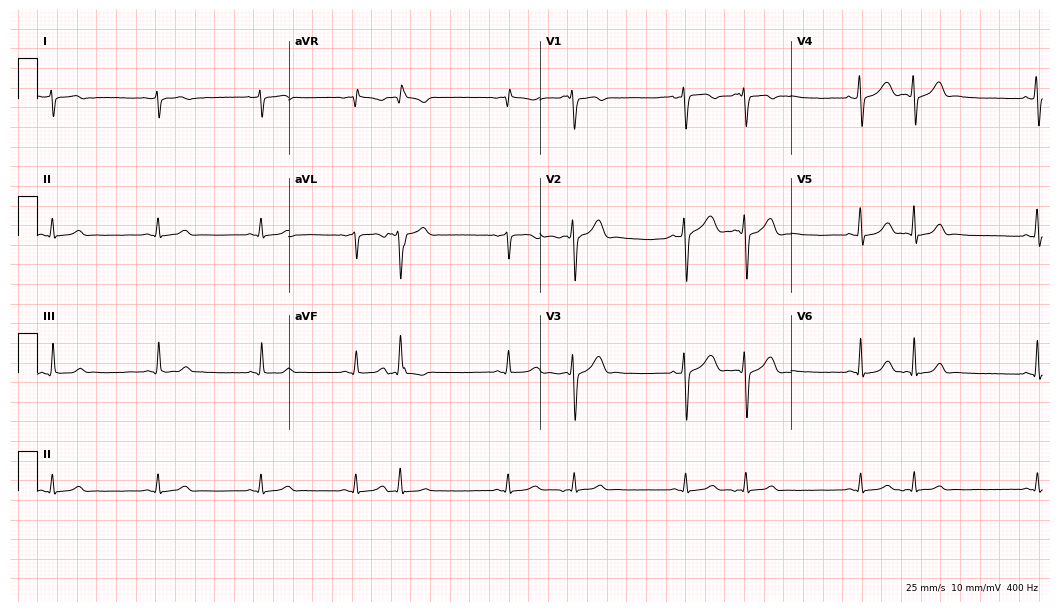
12-lead ECG from a female, 44 years old. Labelled as a normal ECG.